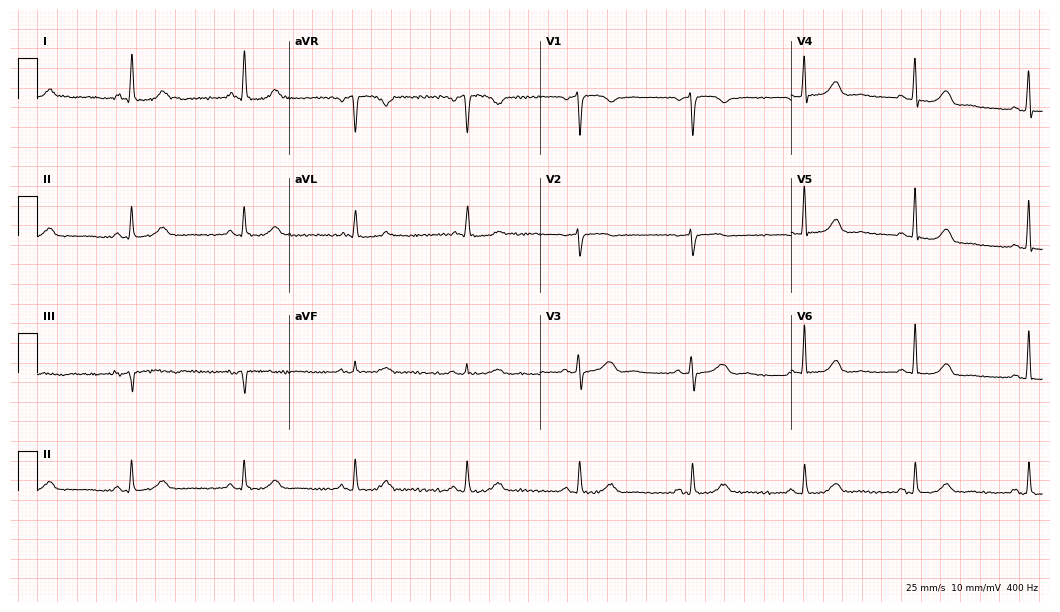
12-lead ECG (10.2-second recording at 400 Hz) from an 85-year-old woman. Screened for six findings — first-degree AV block, right bundle branch block, left bundle branch block, sinus bradycardia, atrial fibrillation, sinus tachycardia — none is recorded. Findings outside these six are not listed.